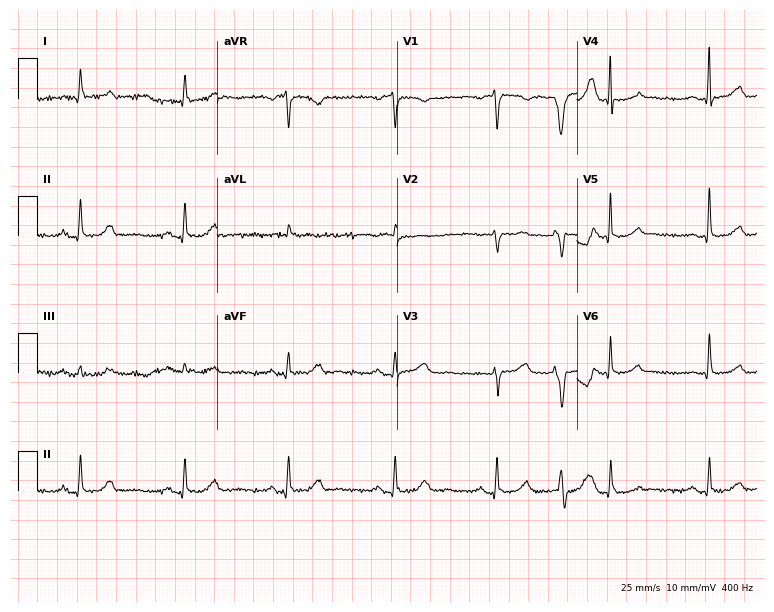
Standard 12-lead ECG recorded from a 74-year-old female patient (7.3-second recording at 400 Hz). Read as a normal ECG.